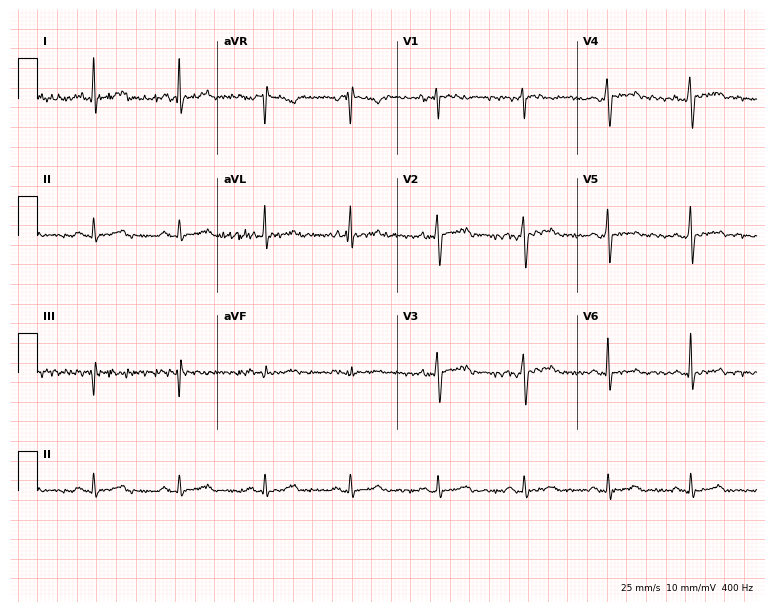
Standard 12-lead ECG recorded from a male patient, 43 years old (7.3-second recording at 400 Hz). None of these six findings is recorded: first-degree AV block, right bundle branch block, left bundle branch block, sinus bradycardia, atrial fibrillation, sinus tachycardia. Findings outside these six are not listed.